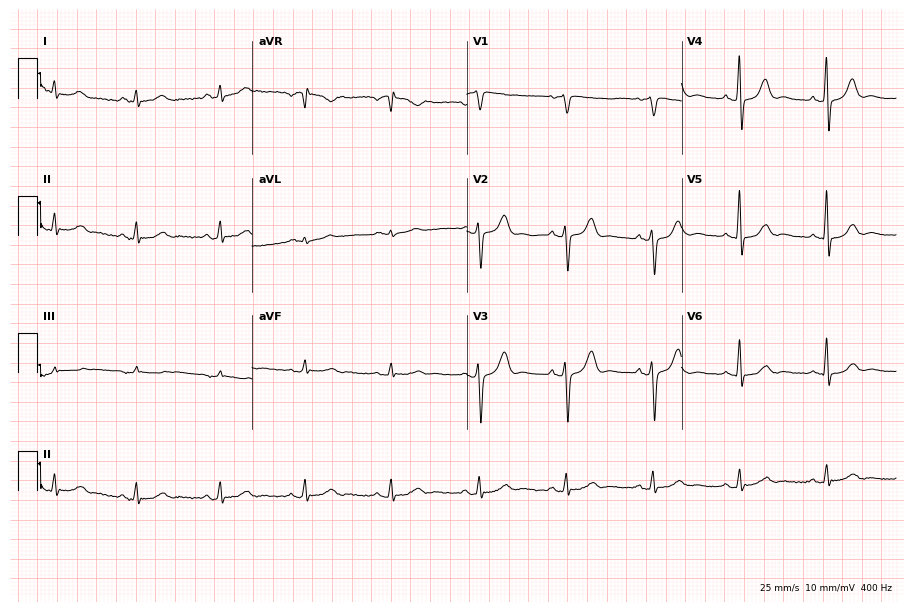
12-lead ECG from a man, 57 years old. Recorded interpretation: within normal limits.